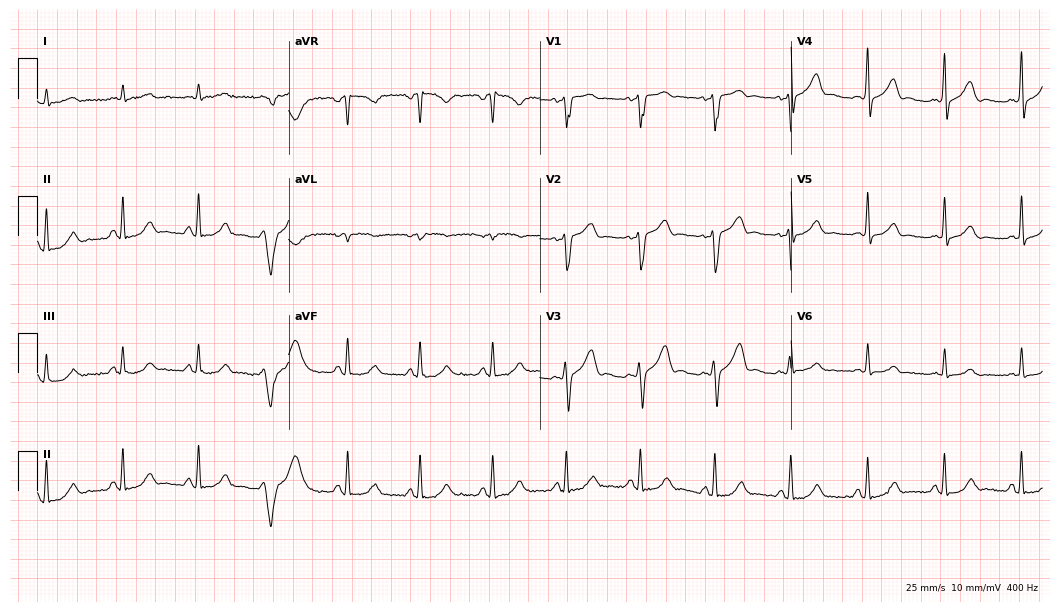
Electrocardiogram (10.2-second recording at 400 Hz), a male patient, 63 years old. Of the six screened findings (first-degree AV block, right bundle branch block (RBBB), left bundle branch block (LBBB), sinus bradycardia, atrial fibrillation (AF), sinus tachycardia), none is recorded. Other findings, if any, are not listed.